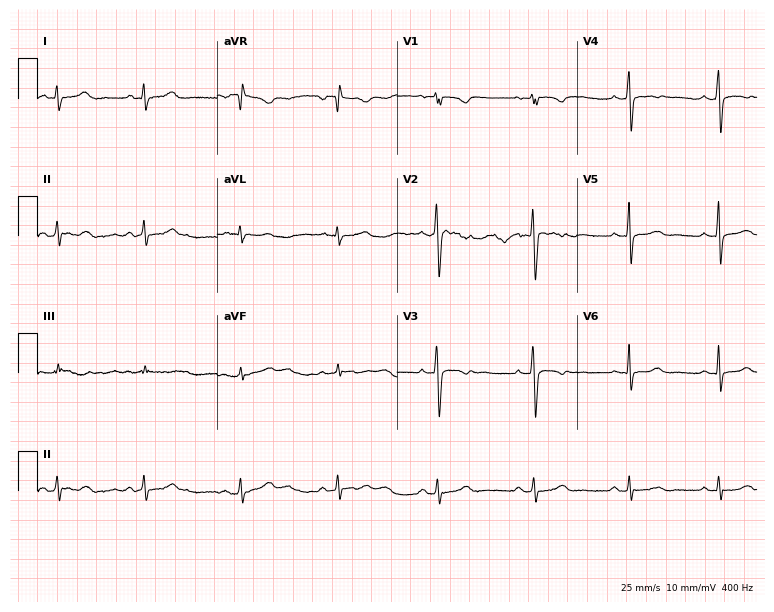
ECG — a 24-year-old female patient. Screened for six findings — first-degree AV block, right bundle branch block, left bundle branch block, sinus bradycardia, atrial fibrillation, sinus tachycardia — none is recorded.